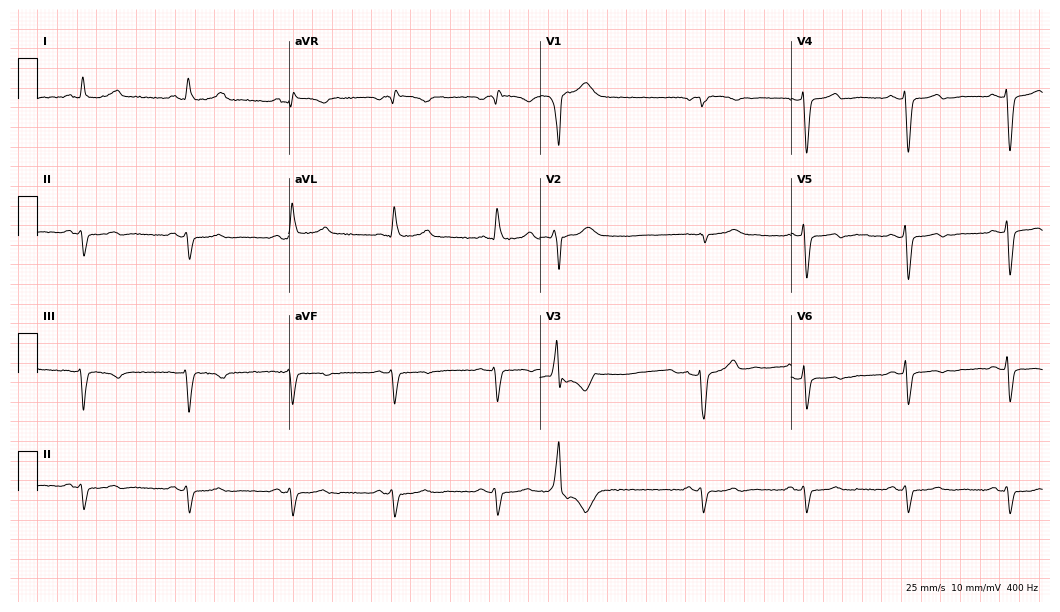
Resting 12-lead electrocardiogram (10.2-second recording at 400 Hz). Patient: a man, 68 years old. None of these six findings is recorded: first-degree AV block, right bundle branch block, left bundle branch block, sinus bradycardia, atrial fibrillation, sinus tachycardia.